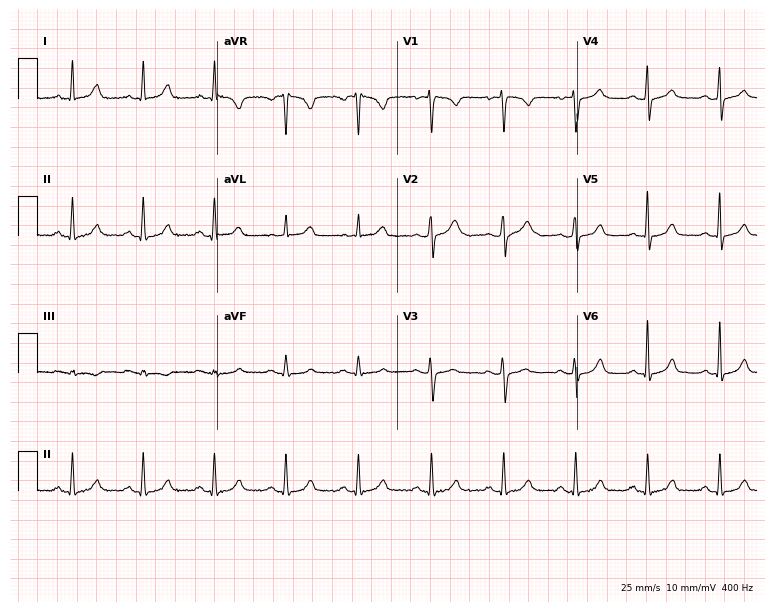
Electrocardiogram (7.3-second recording at 400 Hz), a man, 43 years old. Overall reading on record: normal ECG.